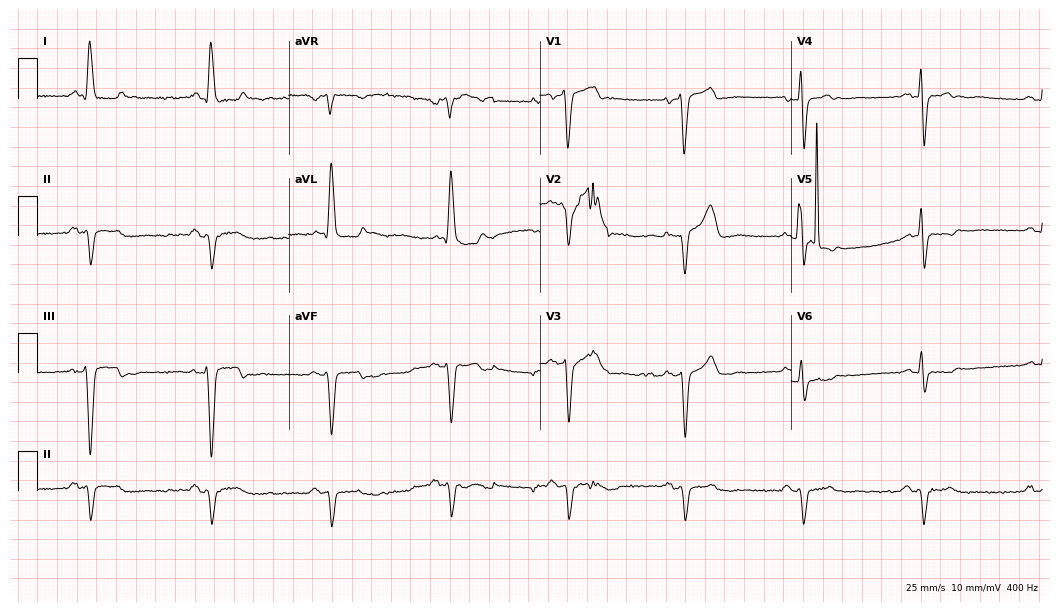
Electrocardiogram, a male, 73 years old. Of the six screened findings (first-degree AV block, right bundle branch block (RBBB), left bundle branch block (LBBB), sinus bradycardia, atrial fibrillation (AF), sinus tachycardia), none is recorded. Other findings, if any, are not listed.